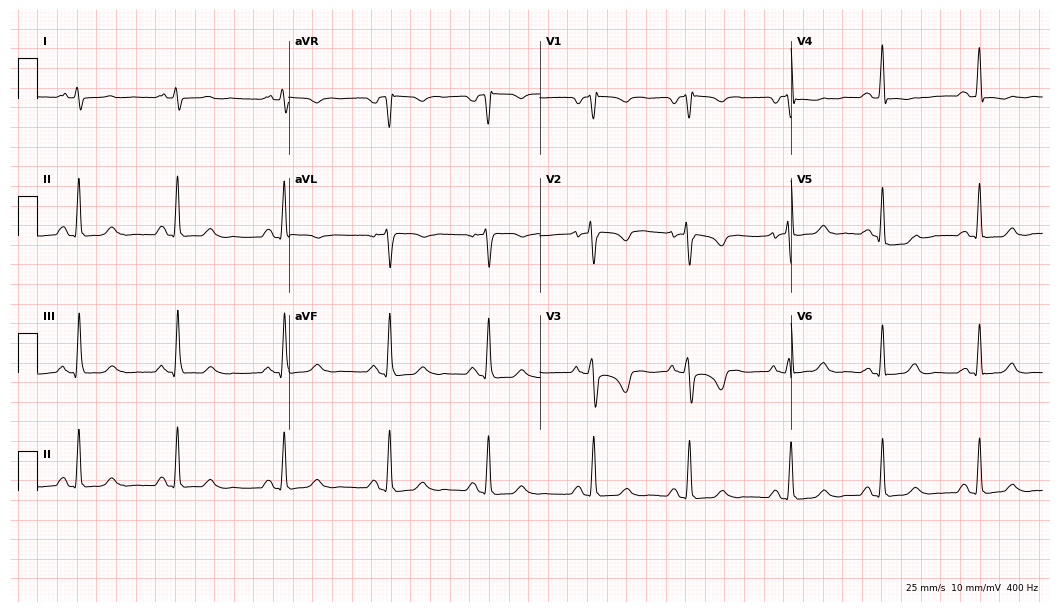
12-lead ECG from a 28-year-old female patient. Screened for six findings — first-degree AV block, right bundle branch block (RBBB), left bundle branch block (LBBB), sinus bradycardia, atrial fibrillation (AF), sinus tachycardia — none is recorded. Only these six findings were labelled.